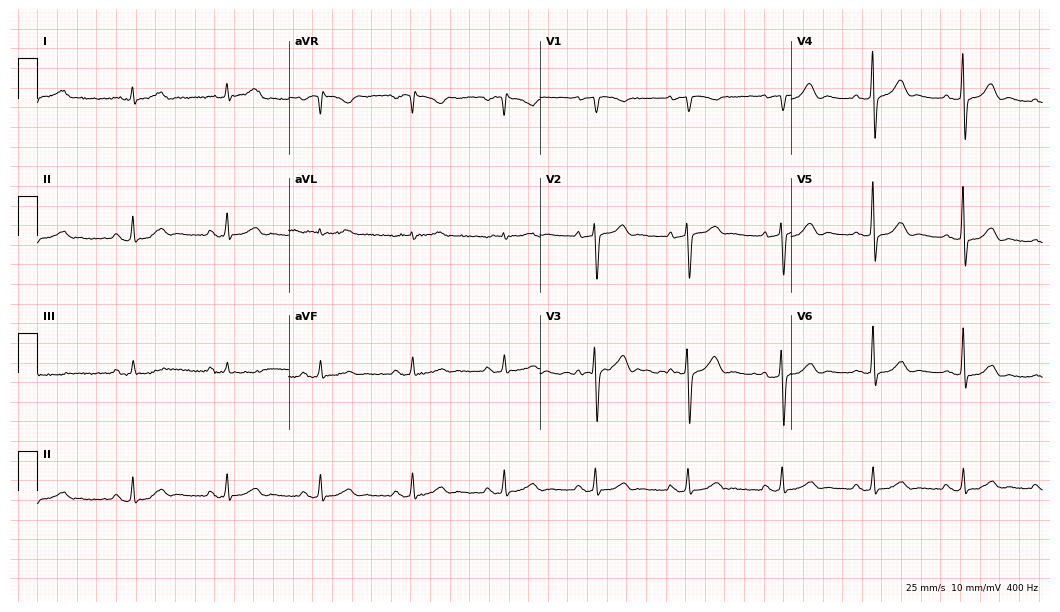
12-lead ECG from a man, 71 years old (10.2-second recording at 400 Hz). Recorded interpretation: within normal limits.